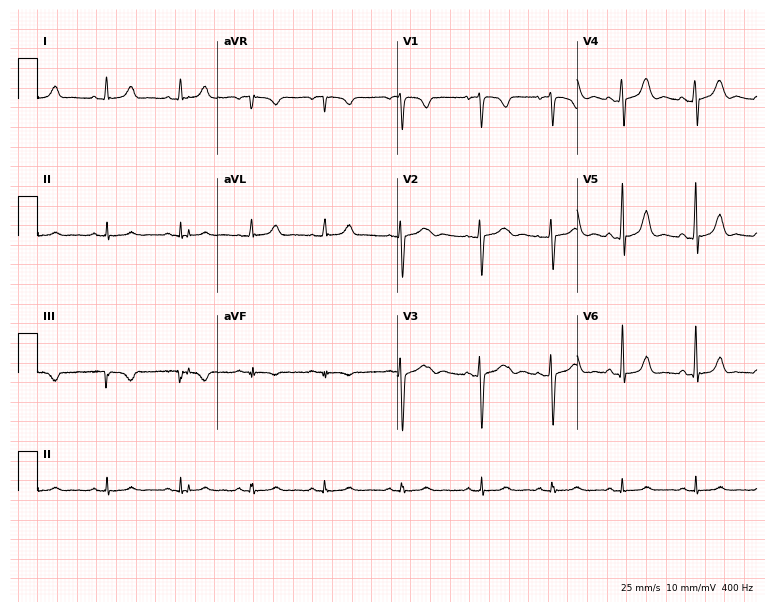
Electrocardiogram, a female, 26 years old. Of the six screened findings (first-degree AV block, right bundle branch block, left bundle branch block, sinus bradycardia, atrial fibrillation, sinus tachycardia), none is recorded. Findings outside these six are not listed.